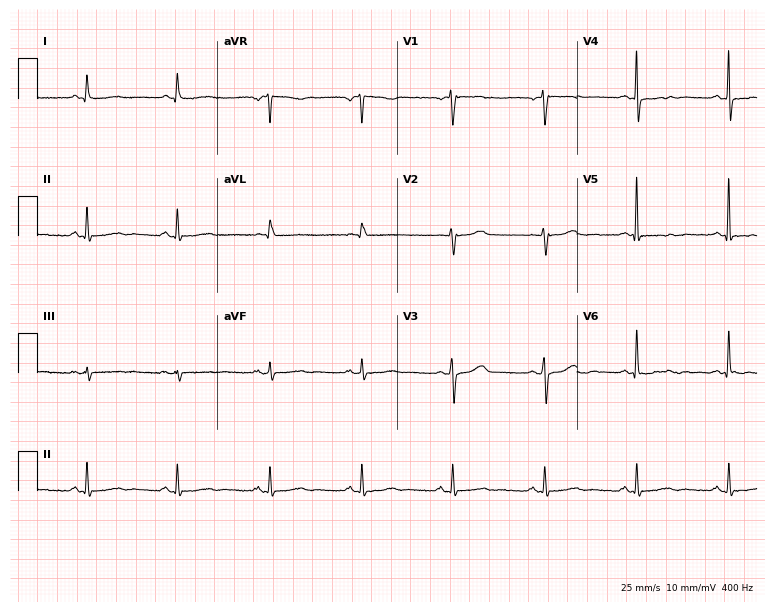
Electrocardiogram (7.3-second recording at 400 Hz), a female patient, 66 years old. Of the six screened findings (first-degree AV block, right bundle branch block (RBBB), left bundle branch block (LBBB), sinus bradycardia, atrial fibrillation (AF), sinus tachycardia), none is recorded. Only these six findings were labelled.